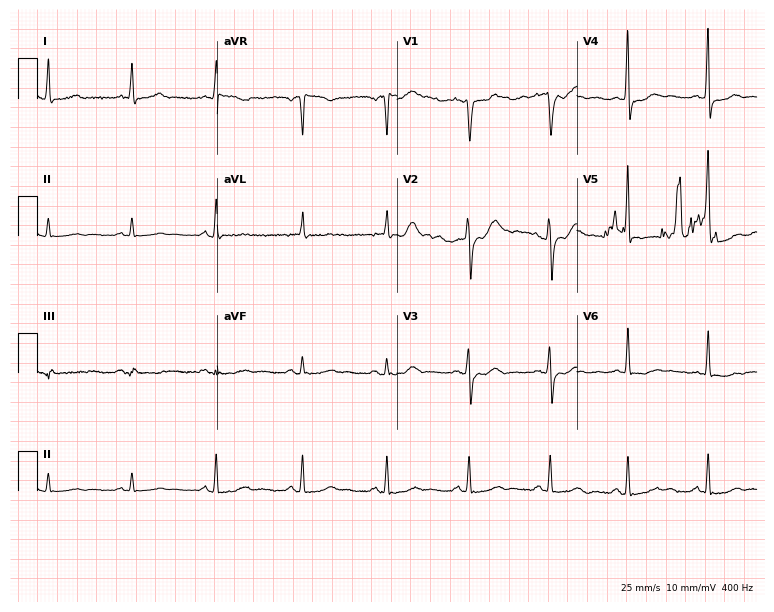
Resting 12-lead electrocardiogram (7.3-second recording at 400 Hz). Patient: a woman, 51 years old. None of these six findings is recorded: first-degree AV block, right bundle branch block, left bundle branch block, sinus bradycardia, atrial fibrillation, sinus tachycardia. Findings outside these six are not listed.